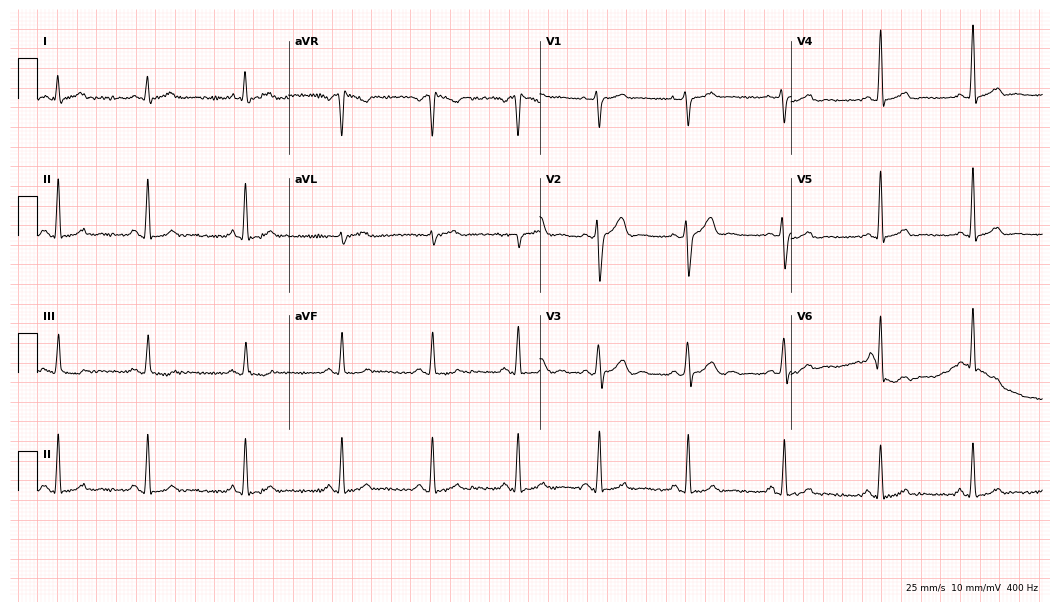
ECG — a 38-year-old male. Labelled as a normal ECG.